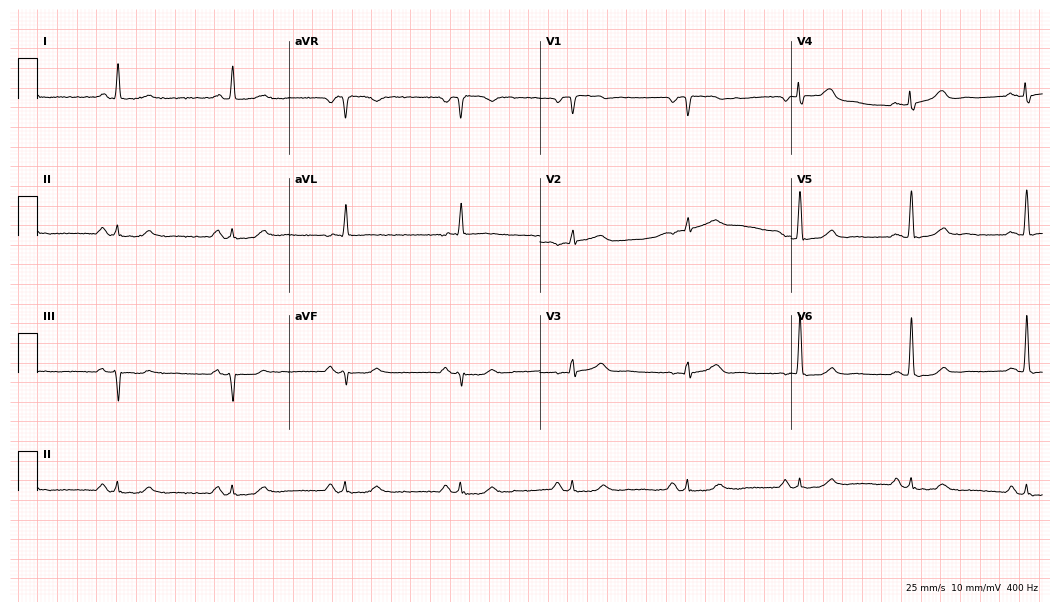
12-lead ECG from a 60-year-old male. No first-degree AV block, right bundle branch block (RBBB), left bundle branch block (LBBB), sinus bradycardia, atrial fibrillation (AF) or sinus tachycardia recorded for this tracing. Other findings, if any, are not listed.